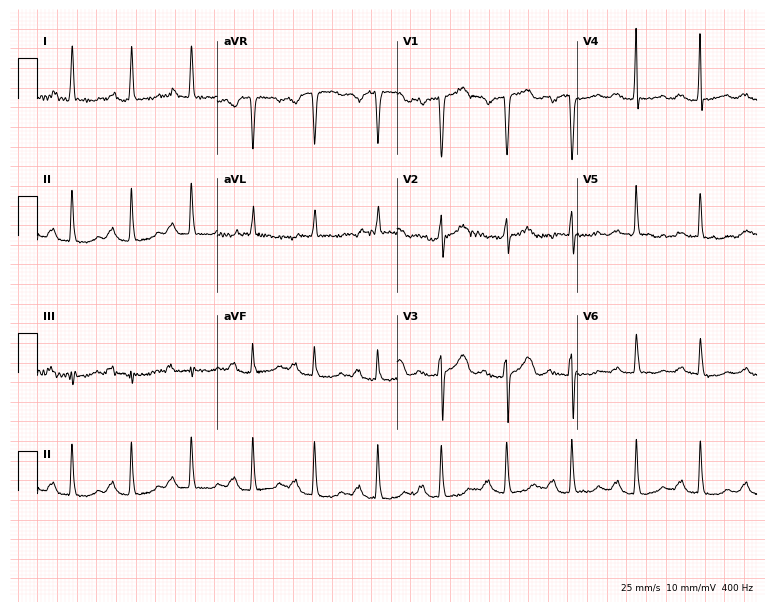
12-lead ECG from a female, 81 years old. Screened for six findings — first-degree AV block, right bundle branch block, left bundle branch block, sinus bradycardia, atrial fibrillation, sinus tachycardia — none is recorded. Only these six findings were labelled.